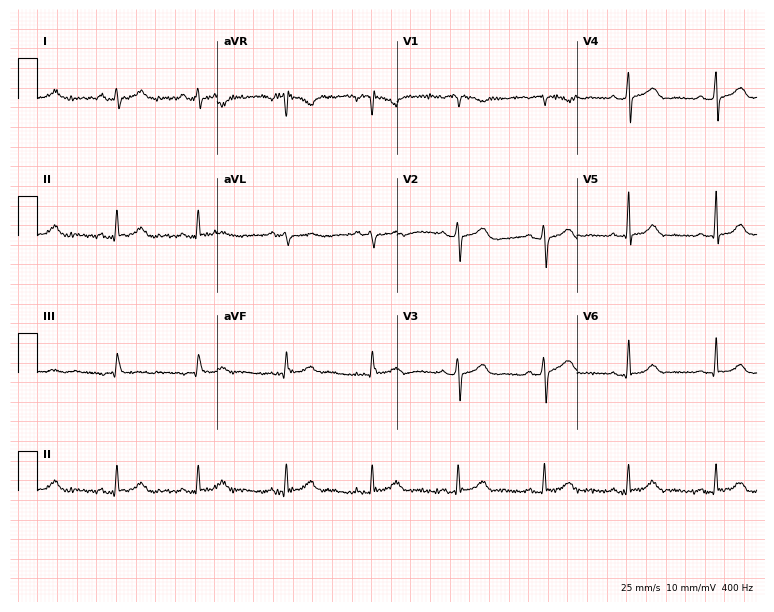
Electrocardiogram (7.3-second recording at 400 Hz), a 32-year-old female patient. Overall reading on record: normal ECG.